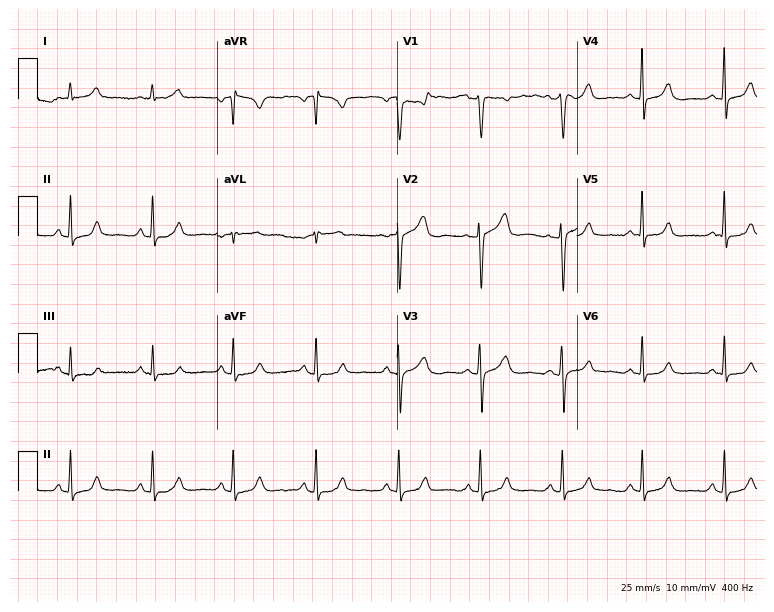
Electrocardiogram, a 47-year-old female patient. Of the six screened findings (first-degree AV block, right bundle branch block, left bundle branch block, sinus bradycardia, atrial fibrillation, sinus tachycardia), none is recorded.